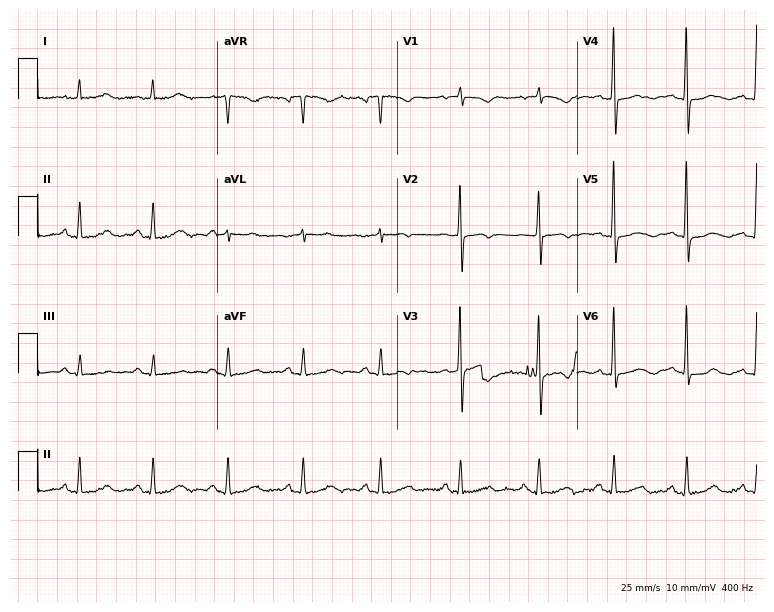
Resting 12-lead electrocardiogram (7.3-second recording at 400 Hz). Patient: a 77-year-old female. None of these six findings is recorded: first-degree AV block, right bundle branch block (RBBB), left bundle branch block (LBBB), sinus bradycardia, atrial fibrillation (AF), sinus tachycardia.